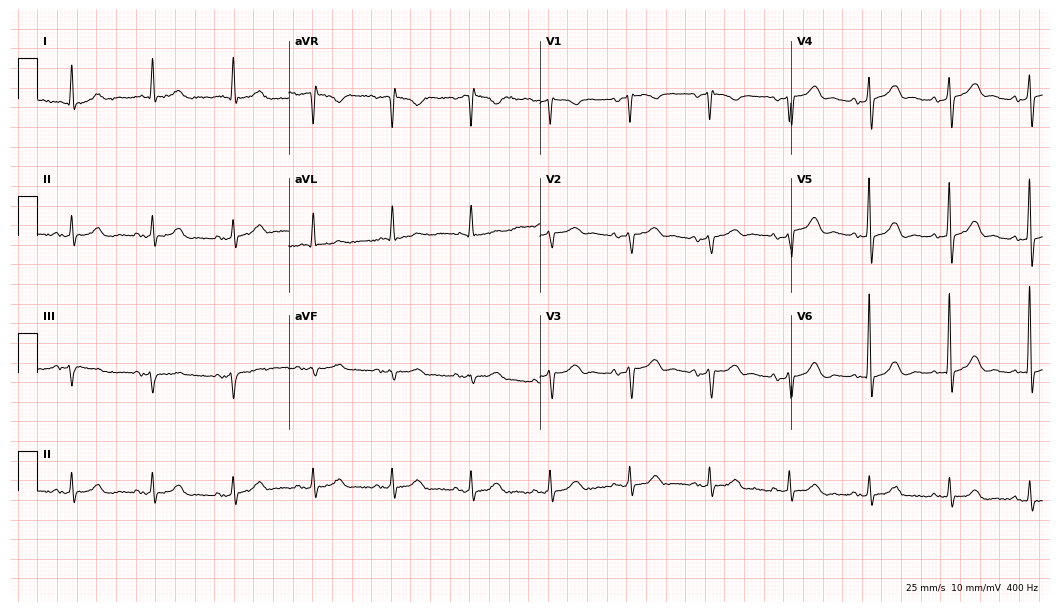
Resting 12-lead electrocardiogram. Patient: a male, 84 years old. None of these six findings is recorded: first-degree AV block, right bundle branch block (RBBB), left bundle branch block (LBBB), sinus bradycardia, atrial fibrillation (AF), sinus tachycardia.